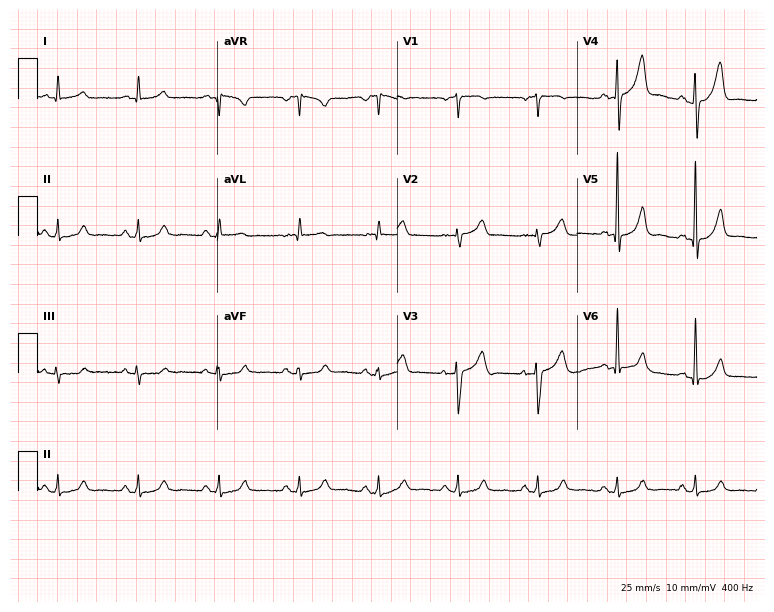
12-lead ECG (7.3-second recording at 400 Hz) from a male patient, 63 years old. Labelled as a normal ECG.